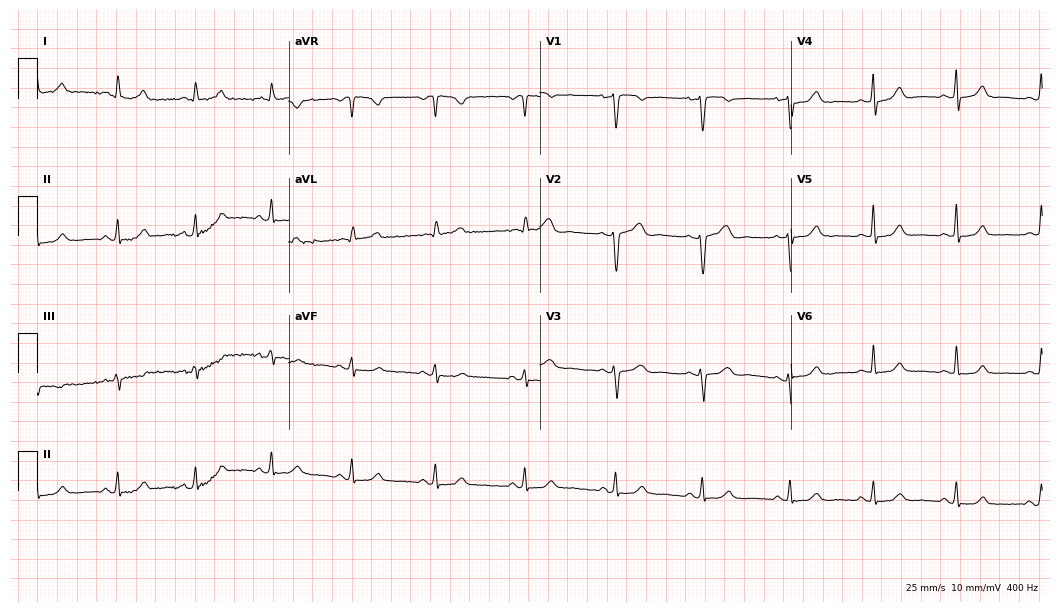
12-lead ECG from a 49-year-old female patient. Recorded interpretation: within normal limits.